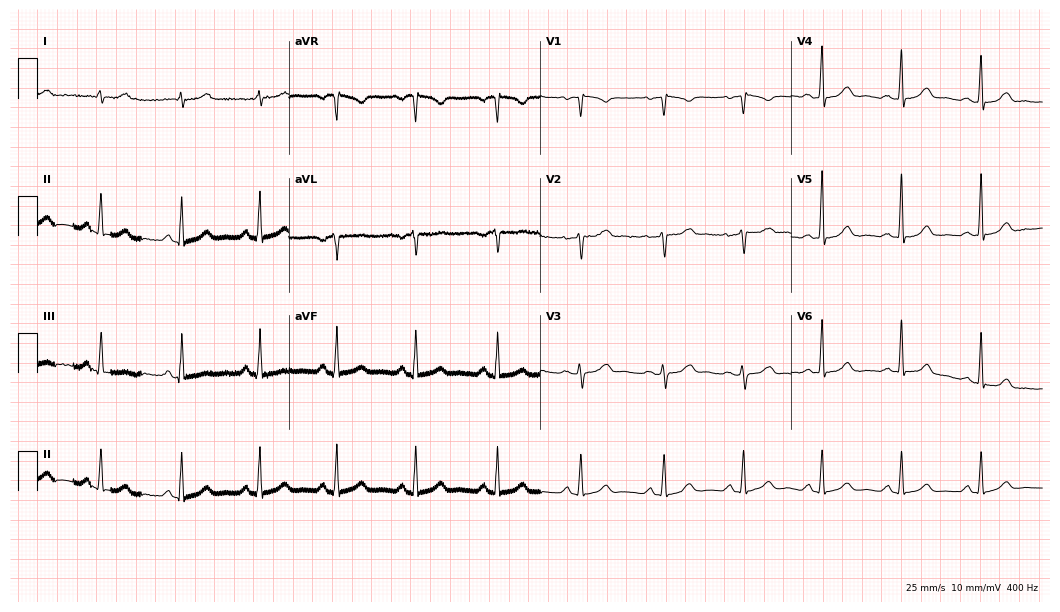
12-lead ECG from a female patient, 43 years old (10.2-second recording at 400 Hz). Recorded interpretation: within normal limits.